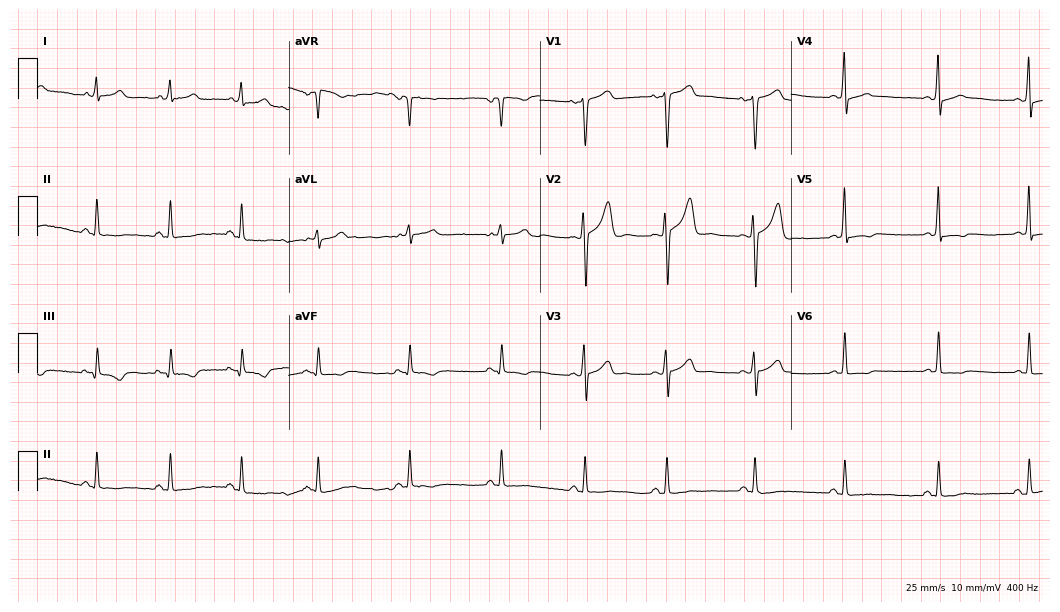
Resting 12-lead electrocardiogram. Patient: a woman, 41 years old. None of these six findings is recorded: first-degree AV block, right bundle branch block (RBBB), left bundle branch block (LBBB), sinus bradycardia, atrial fibrillation (AF), sinus tachycardia.